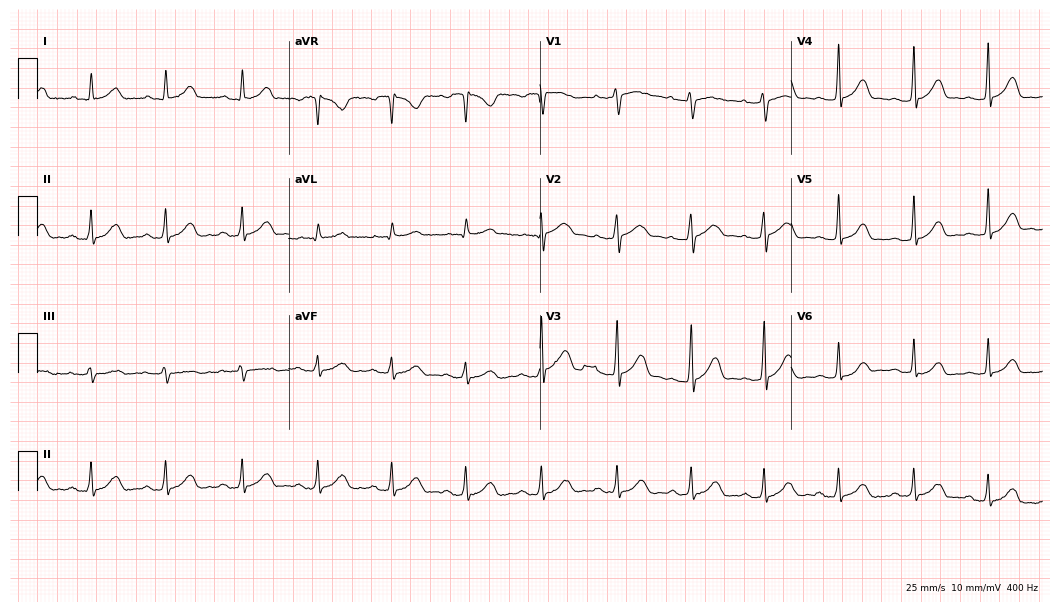
12-lead ECG (10.2-second recording at 400 Hz) from a woman, 36 years old. Labelled as a normal ECG.